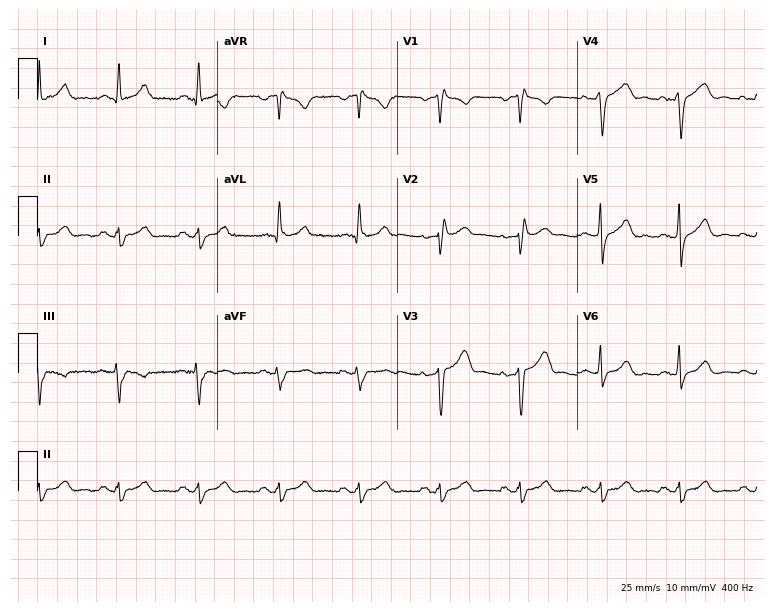
Electrocardiogram (7.3-second recording at 400 Hz), a male, 45 years old. Of the six screened findings (first-degree AV block, right bundle branch block, left bundle branch block, sinus bradycardia, atrial fibrillation, sinus tachycardia), none is recorded. Other findings, if any, are not listed.